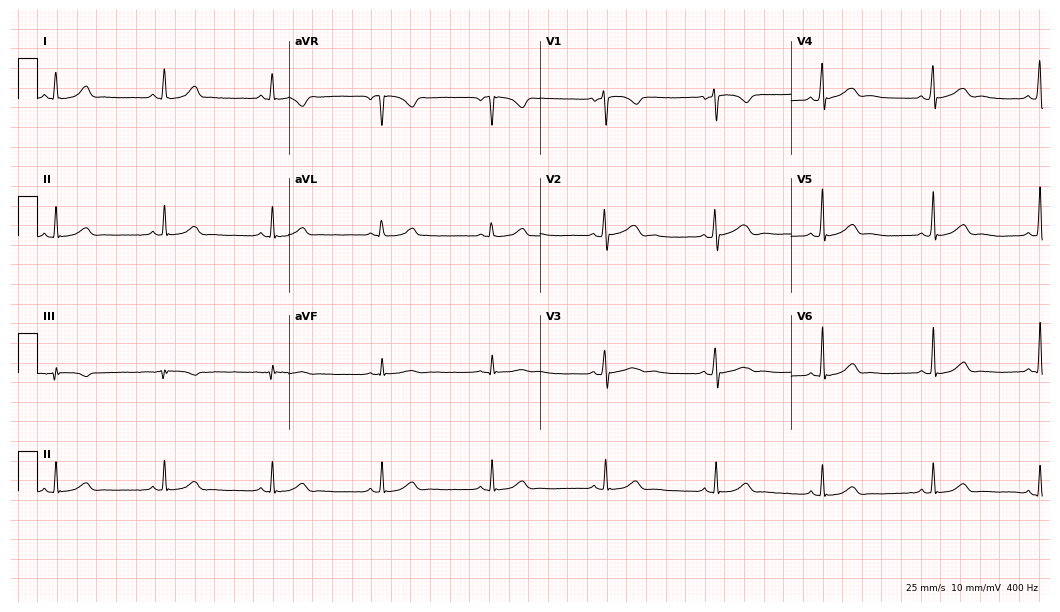
Resting 12-lead electrocardiogram. Patient: a female, 18 years old. None of these six findings is recorded: first-degree AV block, right bundle branch block, left bundle branch block, sinus bradycardia, atrial fibrillation, sinus tachycardia.